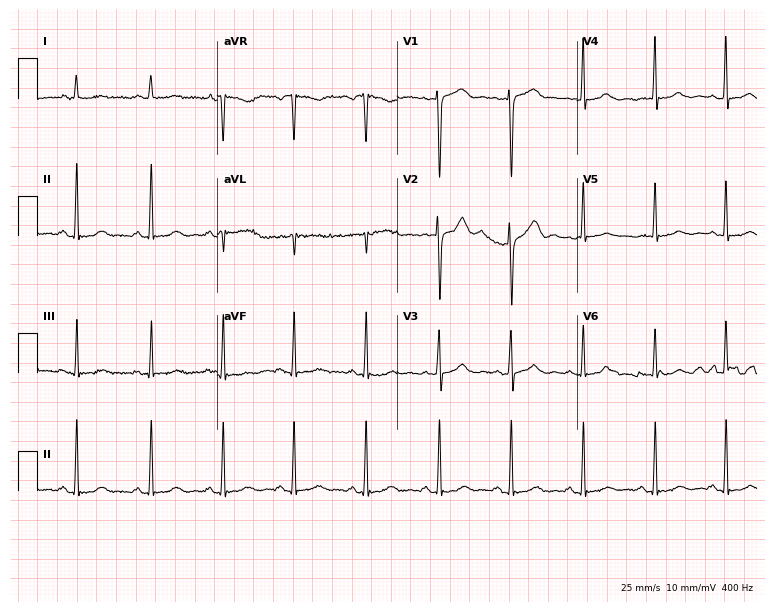
12-lead ECG from a female patient, 39 years old (7.3-second recording at 400 Hz). No first-degree AV block, right bundle branch block (RBBB), left bundle branch block (LBBB), sinus bradycardia, atrial fibrillation (AF) or sinus tachycardia recorded for this tracing.